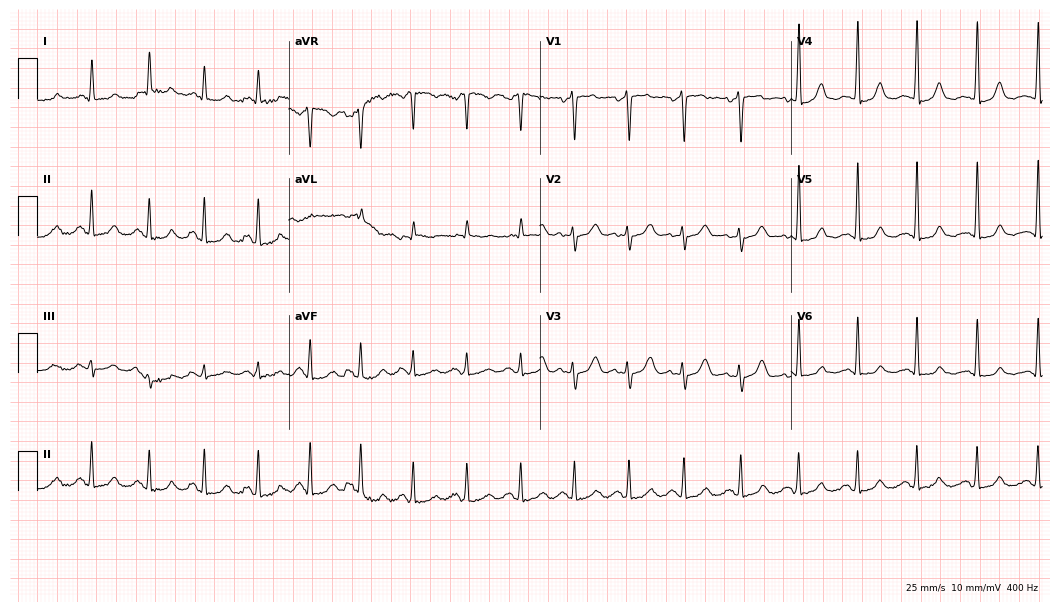
ECG (10.2-second recording at 400 Hz) — a 58-year-old woman. Screened for six findings — first-degree AV block, right bundle branch block, left bundle branch block, sinus bradycardia, atrial fibrillation, sinus tachycardia — none is recorded. Findings outside these six are not listed.